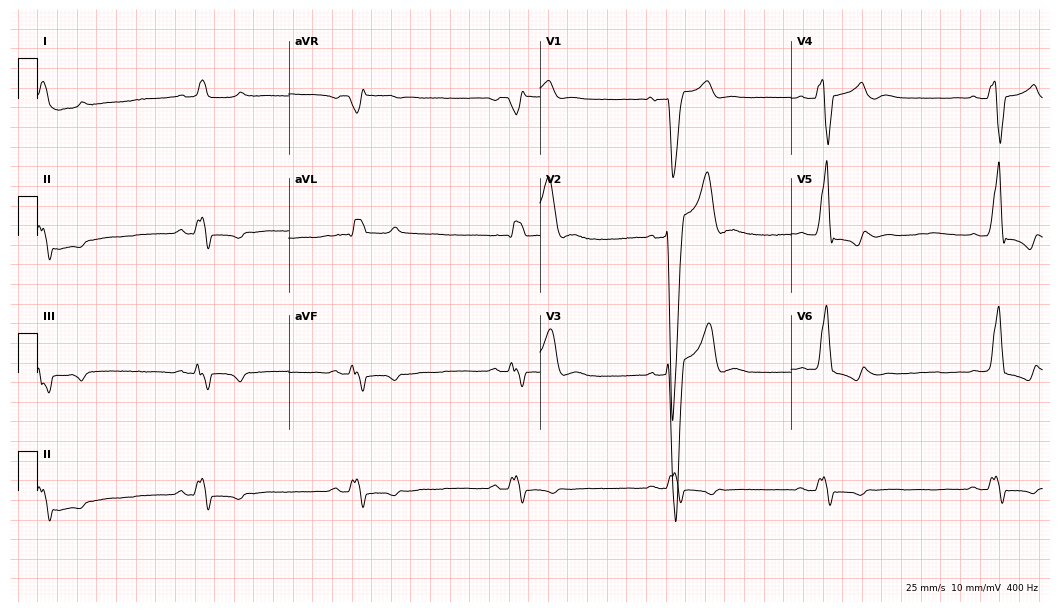
Resting 12-lead electrocardiogram (10.2-second recording at 400 Hz). Patient: a 72-year-old man. None of these six findings is recorded: first-degree AV block, right bundle branch block, left bundle branch block, sinus bradycardia, atrial fibrillation, sinus tachycardia.